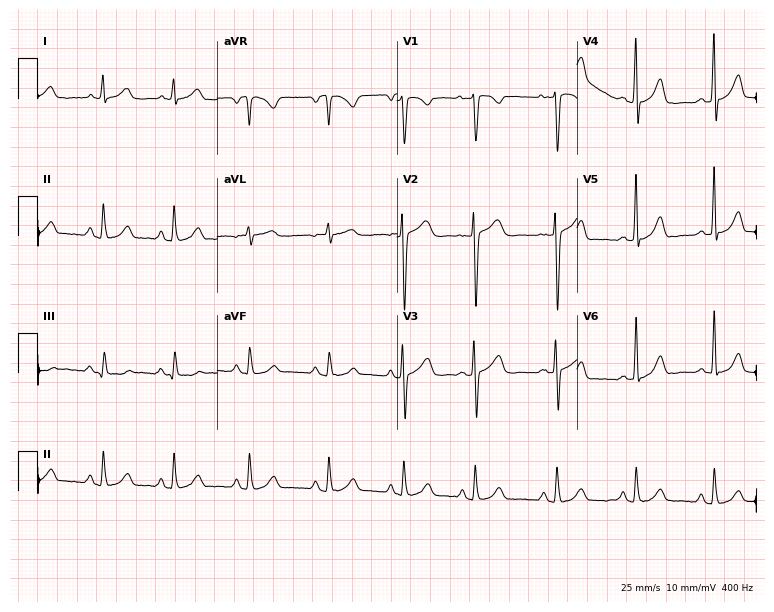
12-lead ECG (7.3-second recording at 400 Hz) from a 35-year-old woman. Screened for six findings — first-degree AV block, right bundle branch block, left bundle branch block, sinus bradycardia, atrial fibrillation, sinus tachycardia — none is recorded.